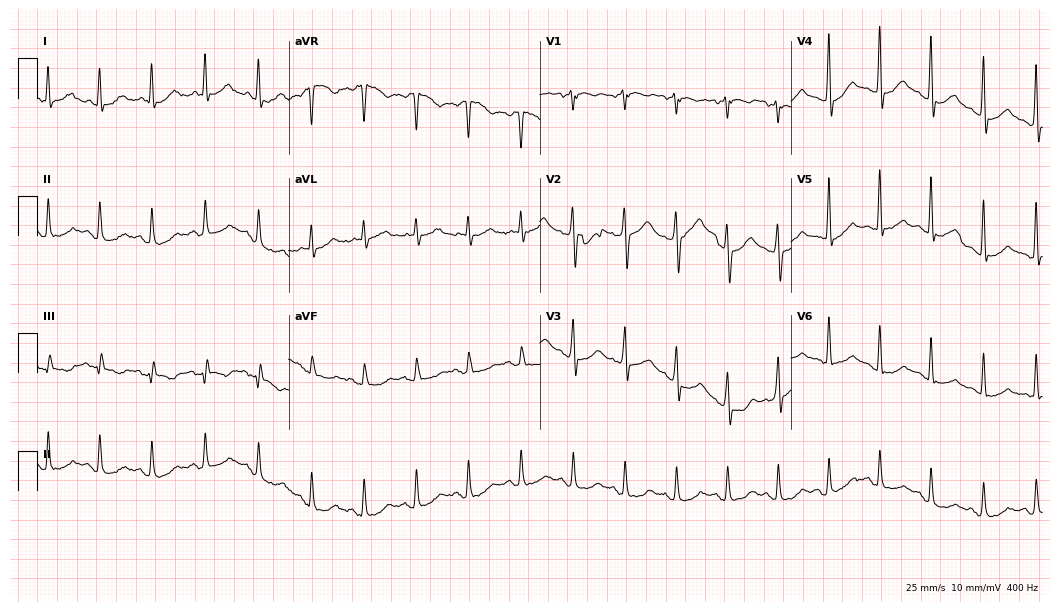
Resting 12-lead electrocardiogram. Patient: a man, 52 years old. The tracing shows sinus tachycardia (a sinus rate of 100 beats per minute or more).